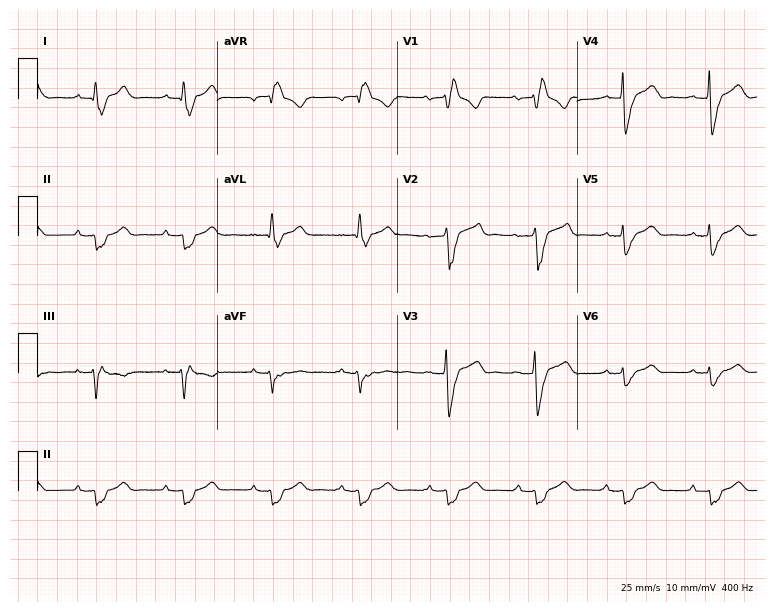
12-lead ECG from a 52-year-old man. Shows right bundle branch block.